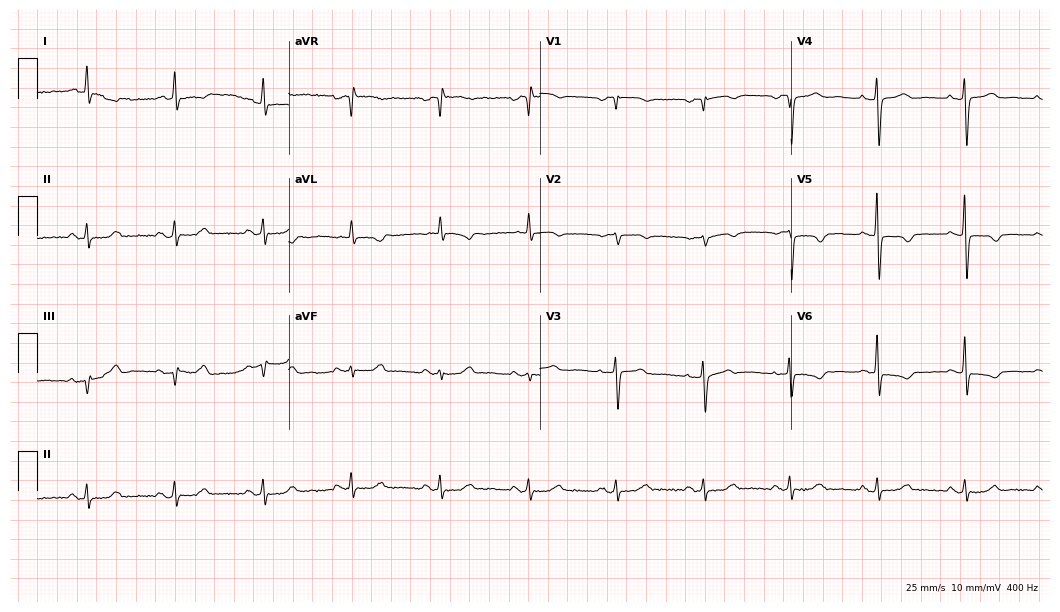
Standard 12-lead ECG recorded from a female patient, 79 years old. None of these six findings is recorded: first-degree AV block, right bundle branch block (RBBB), left bundle branch block (LBBB), sinus bradycardia, atrial fibrillation (AF), sinus tachycardia. Only these six findings were labelled.